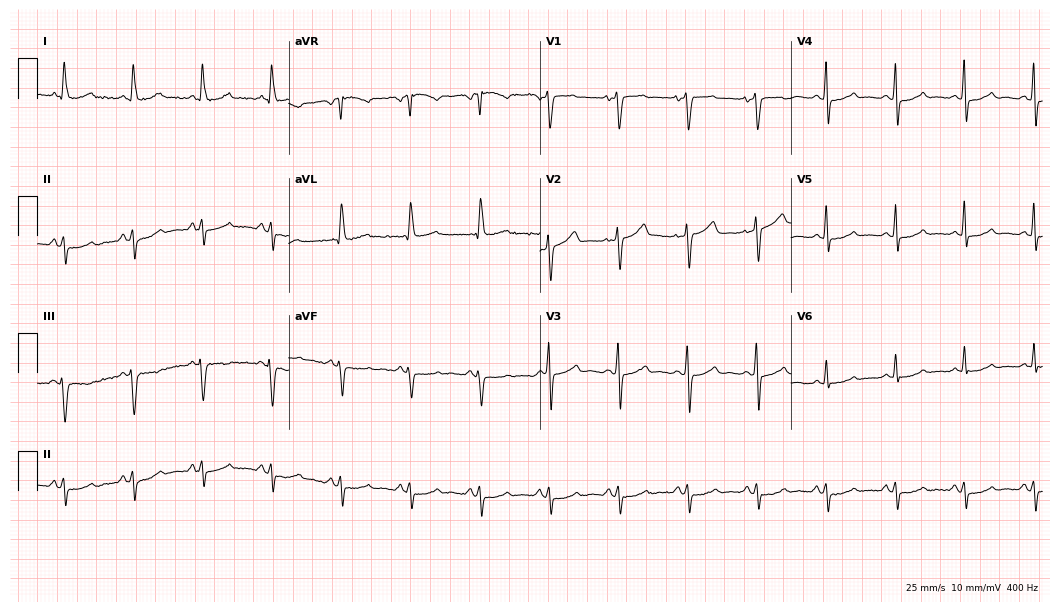
12-lead ECG from a female, 72 years old. Screened for six findings — first-degree AV block, right bundle branch block, left bundle branch block, sinus bradycardia, atrial fibrillation, sinus tachycardia — none is recorded. Other findings, if any, are not listed.